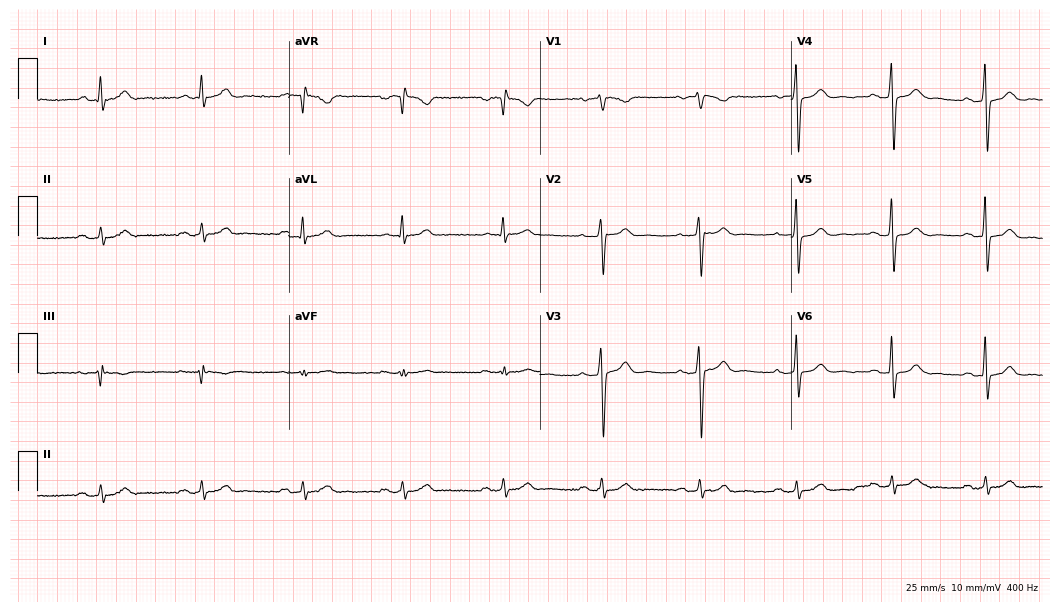
12-lead ECG (10.2-second recording at 400 Hz) from a 50-year-old man. Labelled as a normal ECG.